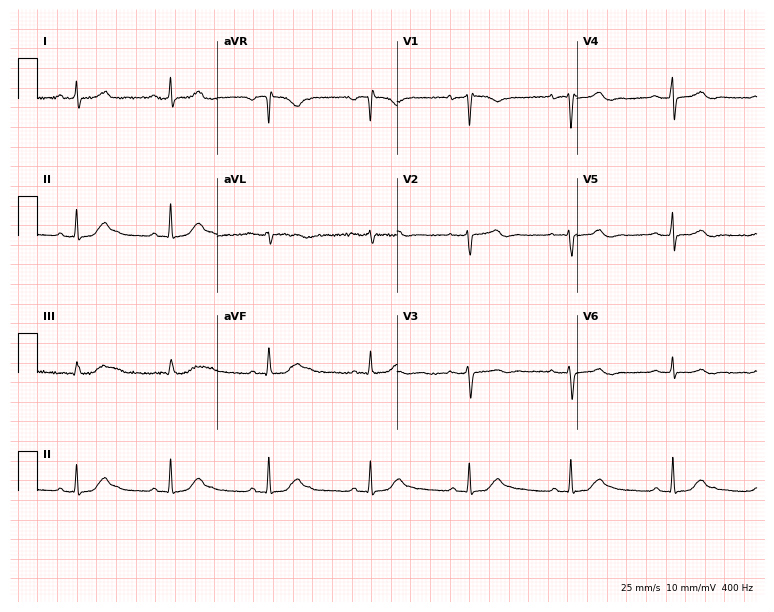
12-lead ECG (7.3-second recording at 400 Hz) from a woman, 65 years old. Labelled as a normal ECG.